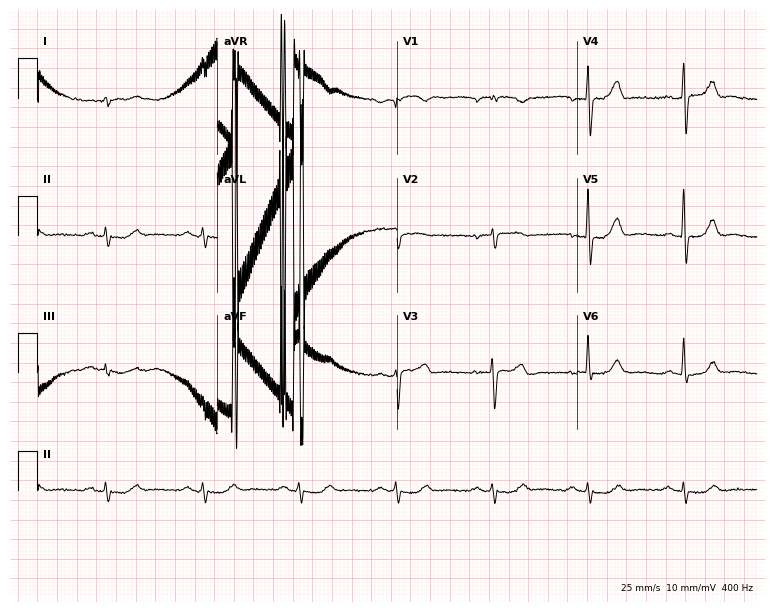
Standard 12-lead ECG recorded from an 82-year-old male patient (7.3-second recording at 400 Hz). None of these six findings is recorded: first-degree AV block, right bundle branch block (RBBB), left bundle branch block (LBBB), sinus bradycardia, atrial fibrillation (AF), sinus tachycardia. Only these six findings were labelled.